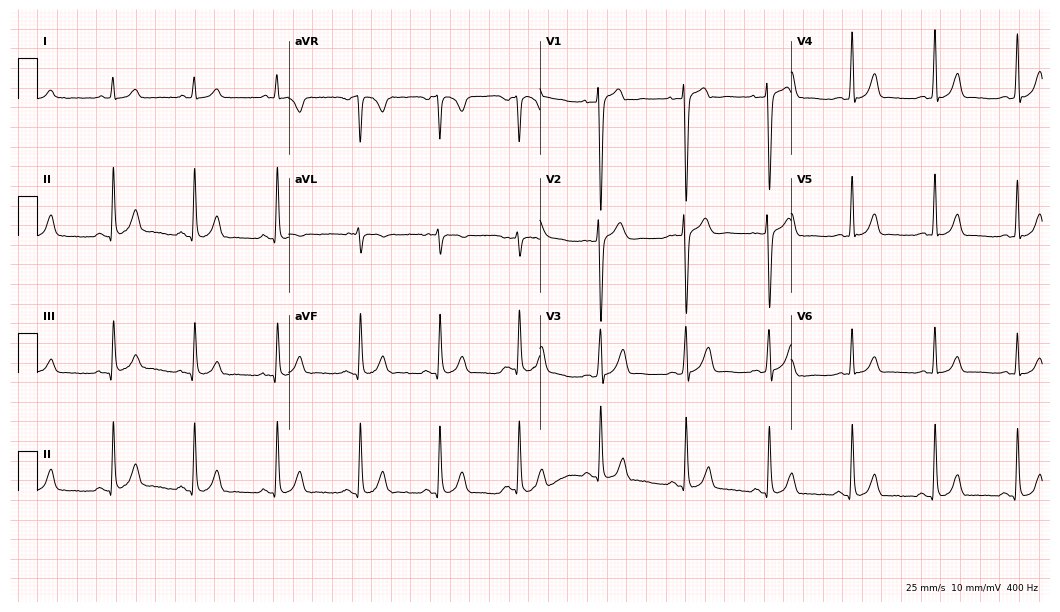
ECG — a male patient, 18 years old. Labelled as a normal ECG.